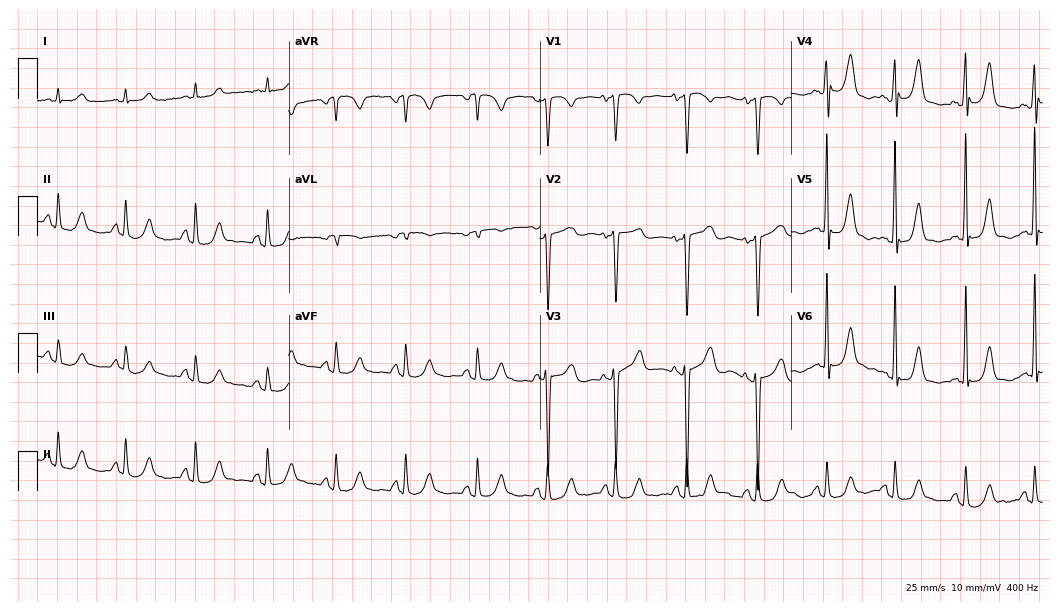
Resting 12-lead electrocardiogram. Patient: a female, 71 years old. None of these six findings is recorded: first-degree AV block, right bundle branch block (RBBB), left bundle branch block (LBBB), sinus bradycardia, atrial fibrillation (AF), sinus tachycardia. Findings outside these six are not listed.